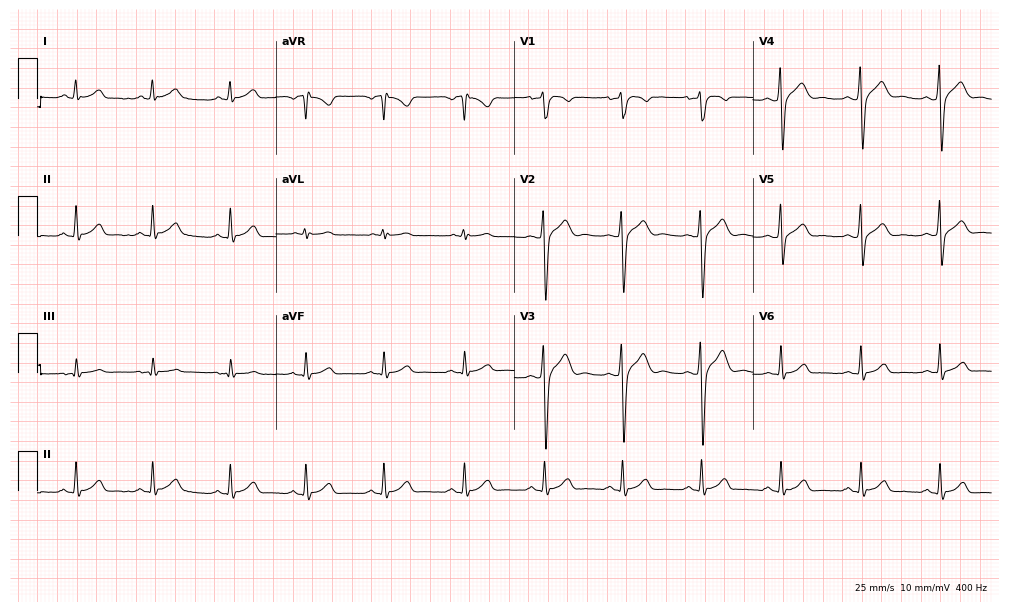
Resting 12-lead electrocardiogram. Patient: a man, 22 years old. Read as a normal ECG.